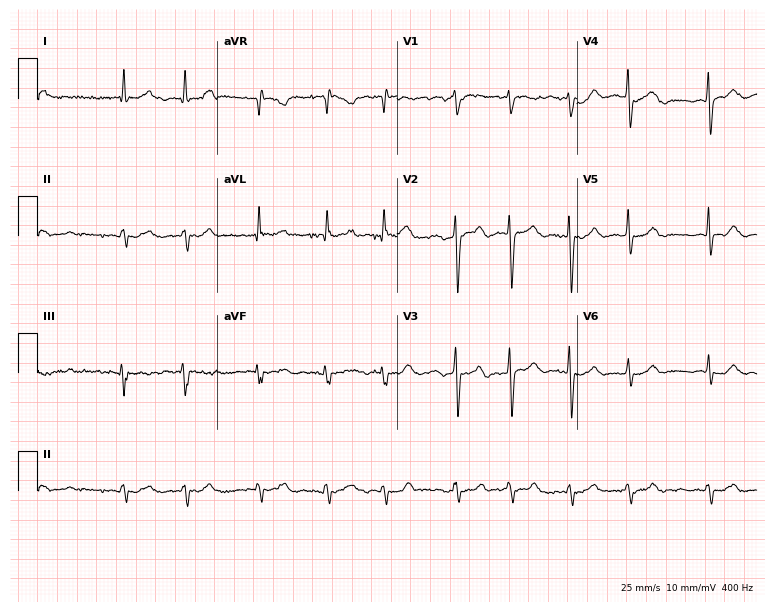
ECG — a male, 78 years old. Findings include atrial fibrillation (AF).